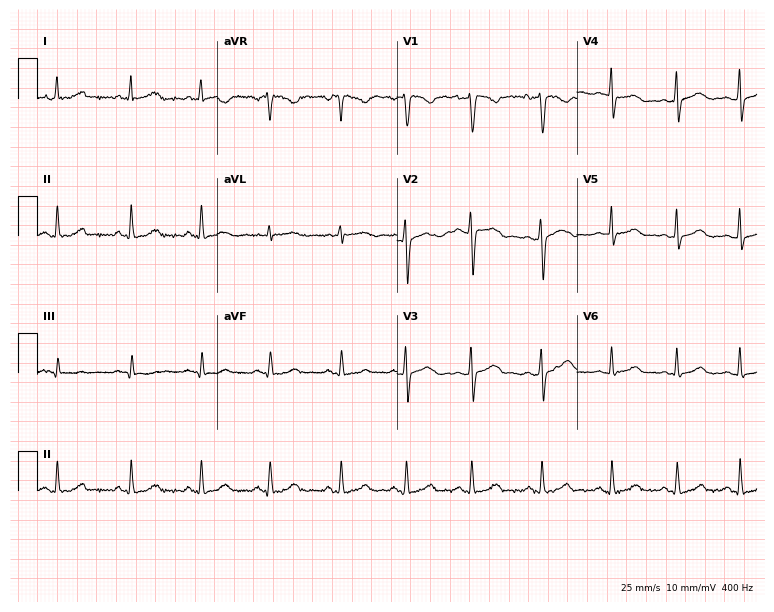
Electrocardiogram (7.3-second recording at 400 Hz), a 30-year-old female. Of the six screened findings (first-degree AV block, right bundle branch block, left bundle branch block, sinus bradycardia, atrial fibrillation, sinus tachycardia), none is recorded. Only these six findings were labelled.